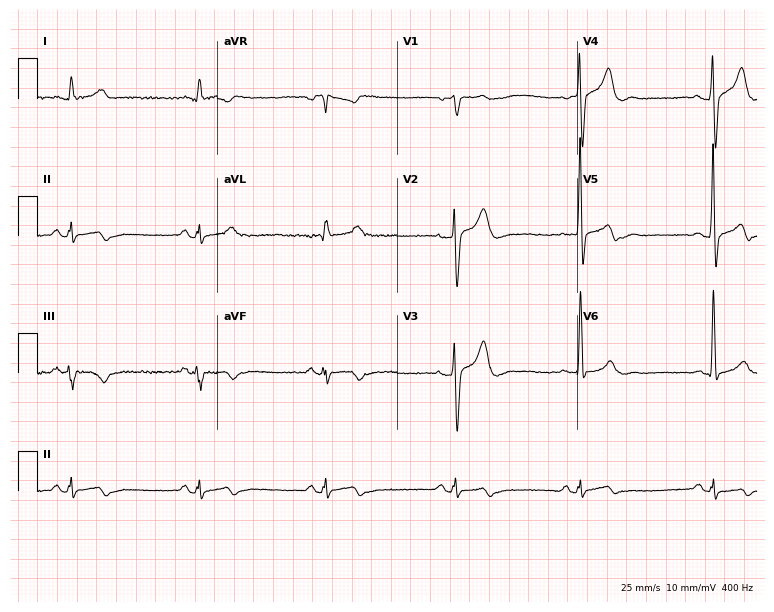
Resting 12-lead electrocardiogram (7.3-second recording at 400 Hz). Patient: a male, 64 years old. The tracing shows sinus bradycardia (a sinus rate of 50 beats per minute or less).